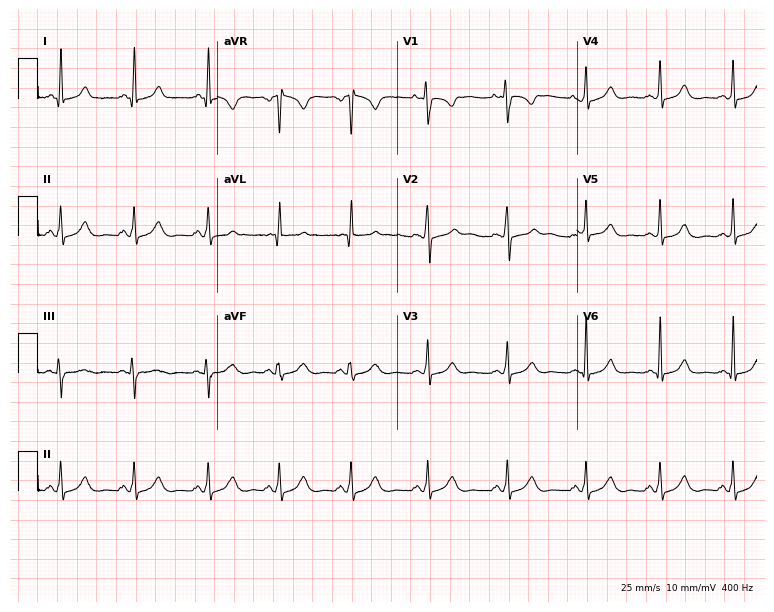
ECG — a female, 34 years old. Screened for six findings — first-degree AV block, right bundle branch block, left bundle branch block, sinus bradycardia, atrial fibrillation, sinus tachycardia — none is recorded.